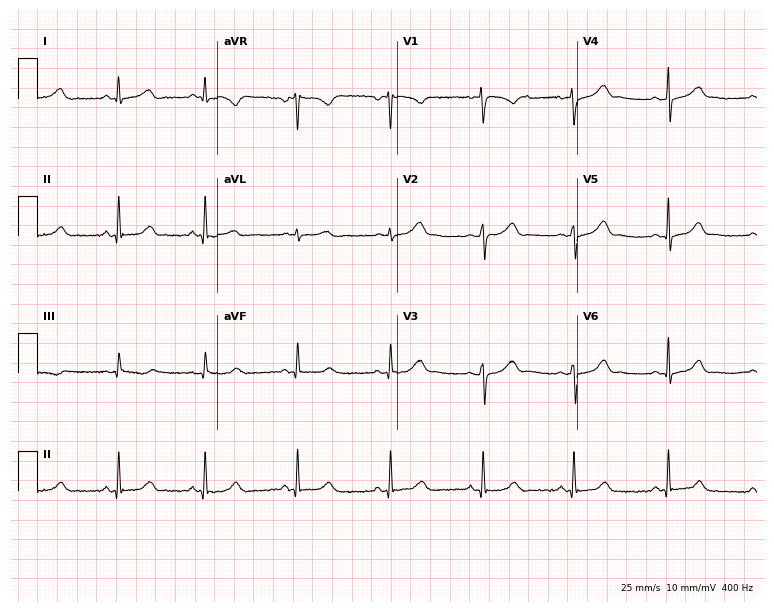
ECG (7.3-second recording at 400 Hz) — a 34-year-old female. Labelled as a normal ECG.